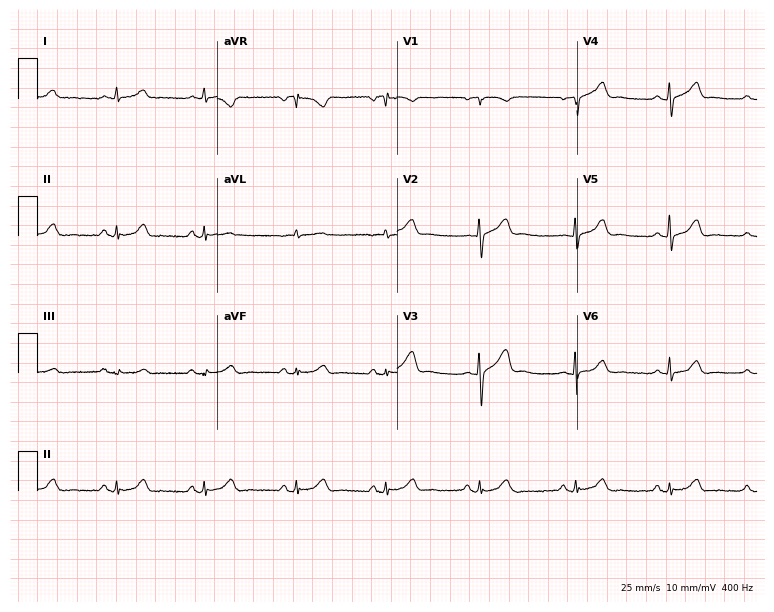
12-lead ECG (7.3-second recording at 400 Hz) from a 58-year-old female. Labelled as a normal ECG.